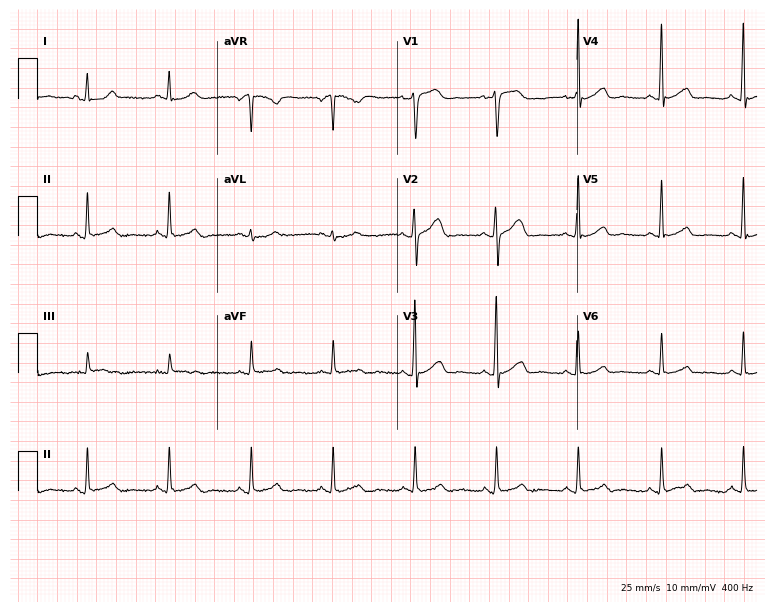
ECG — a 52-year-old male patient. Labelled as a normal ECG.